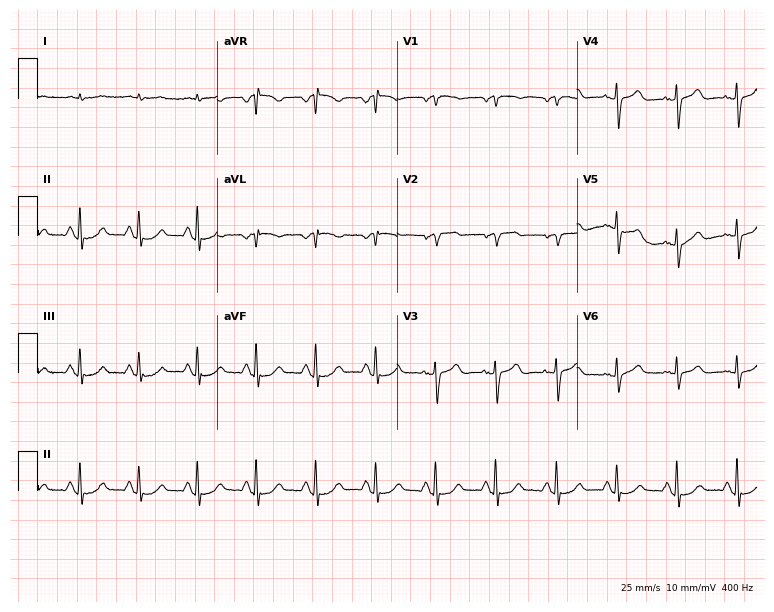
ECG (7.3-second recording at 400 Hz) — an 86-year-old male patient. Screened for six findings — first-degree AV block, right bundle branch block (RBBB), left bundle branch block (LBBB), sinus bradycardia, atrial fibrillation (AF), sinus tachycardia — none is recorded.